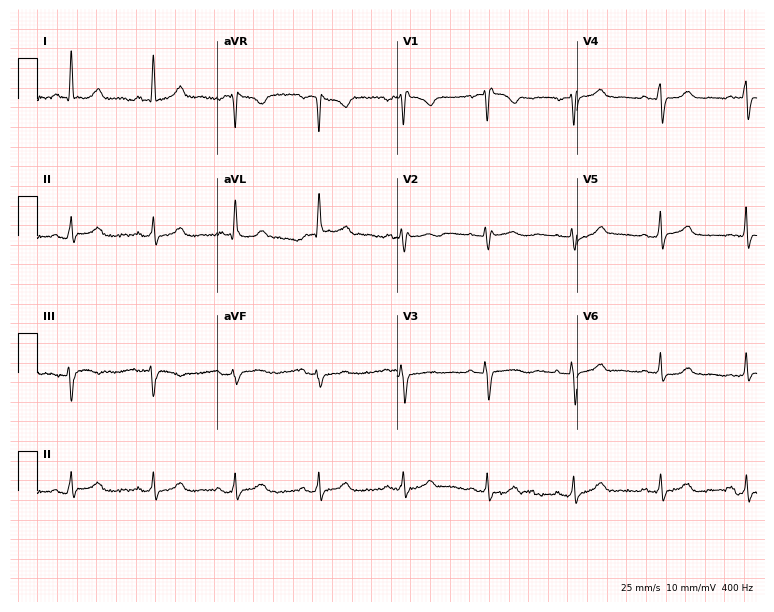
Standard 12-lead ECG recorded from a female, 57 years old (7.3-second recording at 400 Hz). Read as a normal ECG.